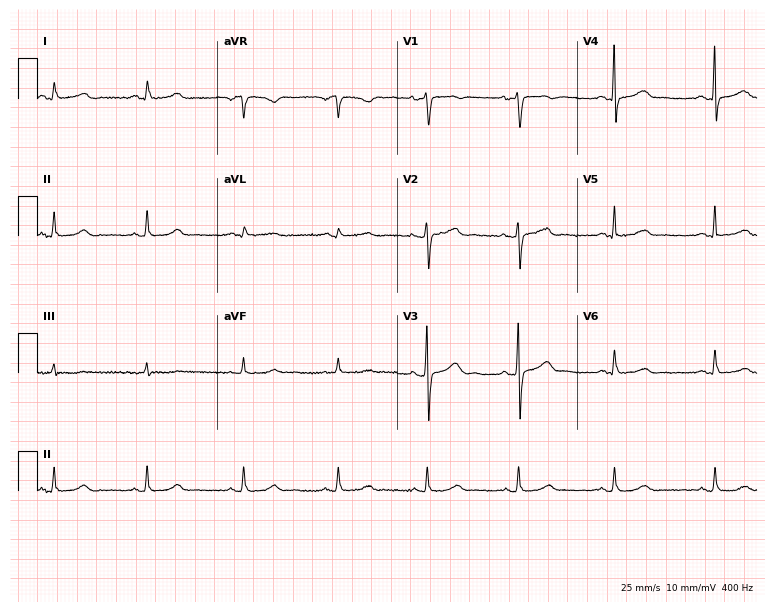
Standard 12-lead ECG recorded from a female, 47 years old. Read as a normal ECG.